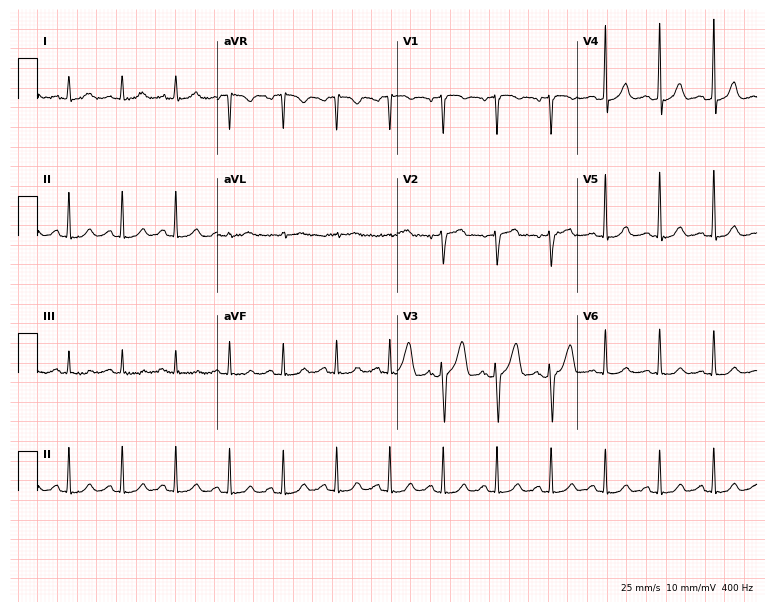
Electrocardiogram (7.3-second recording at 400 Hz), a 63-year-old male patient. Interpretation includes sinus tachycardia (a sinus rate of 100 beats per minute or more).